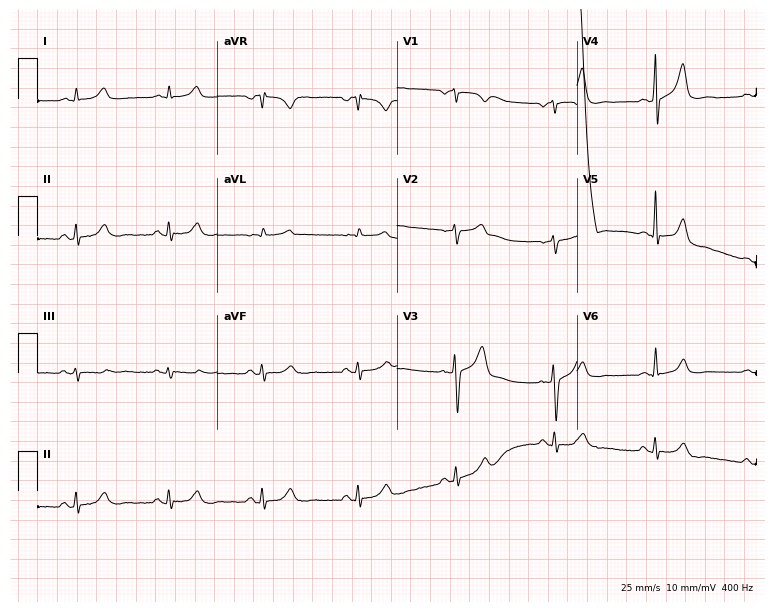
Resting 12-lead electrocardiogram. Patient: a male, 49 years old. None of these six findings is recorded: first-degree AV block, right bundle branch block, left bundle branch block, sinus bradycardia, atrial fibrillation, sinus tachycardia.